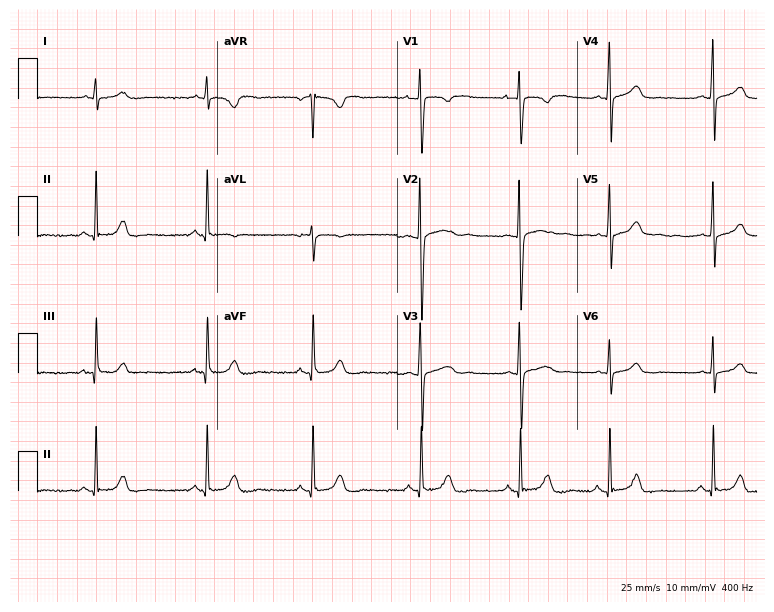
Electrocardiogram, a 27-year-old female. Of the six screened findings (first-degree AV block, right bundle branch block (RBBB), left bundle branch block (LBBB), sinus bradycardia, atrial fibrillation (AF), sinus tachycardia), none is recorded. Other findings, if any, are not listed.